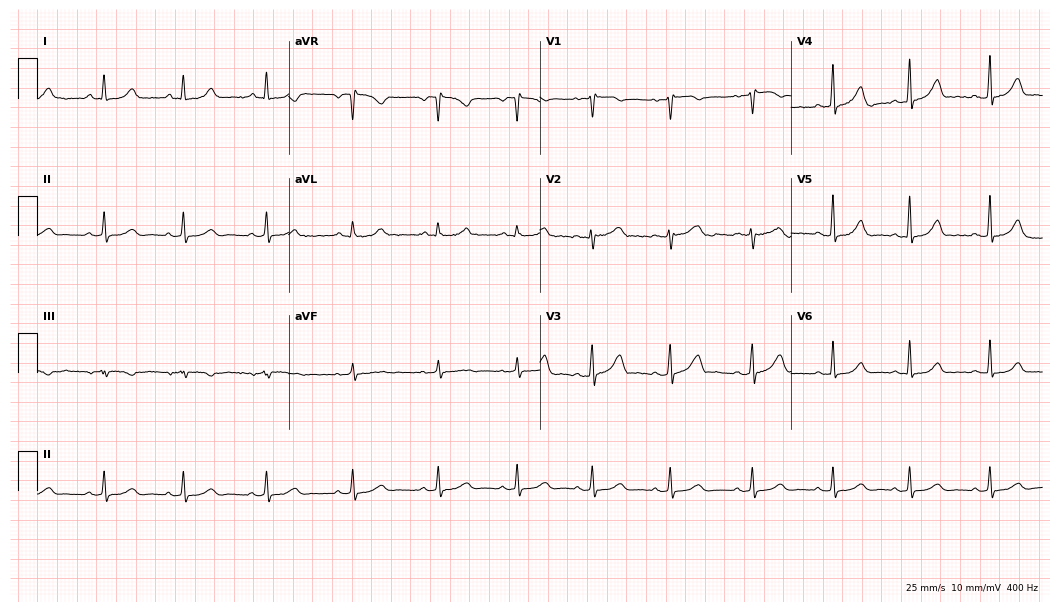
12-lead ECG from an 18-year-old woman. Screened for six findings — first-degree AV block, right bundle branch block, left bundle branch block, sinus bradycardia, atrial fibrillation, sinus tachycardia — none is recorded. Other findings, if any, are not listed.